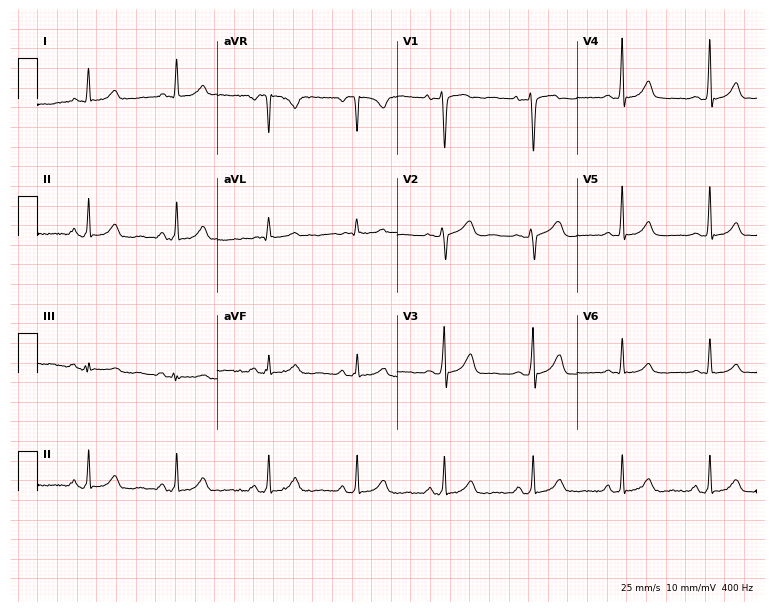
Resting 12-lead electrocardiogram (7.3-second recording at 400 Hz). Patient: a female, 52 years old. None of these six findings is recorded: first-degree AV block, right bundle branch block, left bundle branch block, sinus bradycardia, atrial fibrillation, sinus tachycardia. Findings outside these six are not listed.